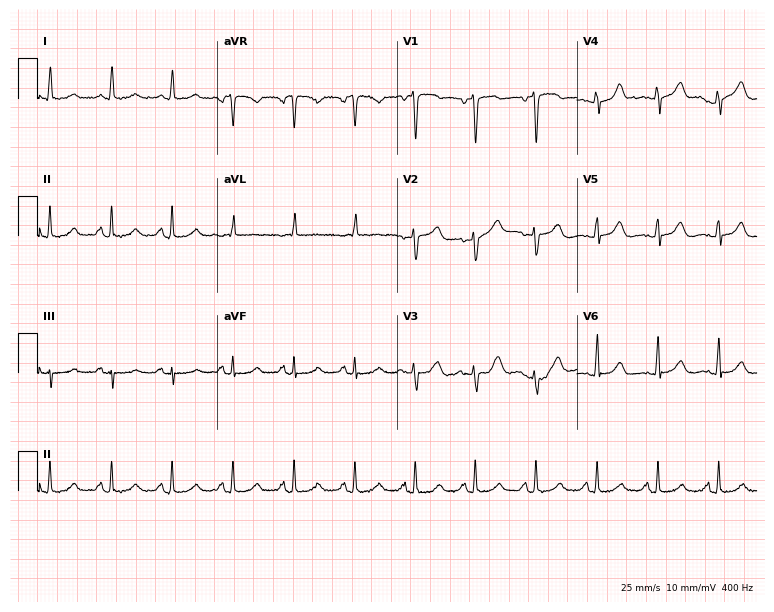
12-lead ECG from a female patient, 50 years old (7.3-second recording at 400 Hz). Recorded interpretation: within normal limits.